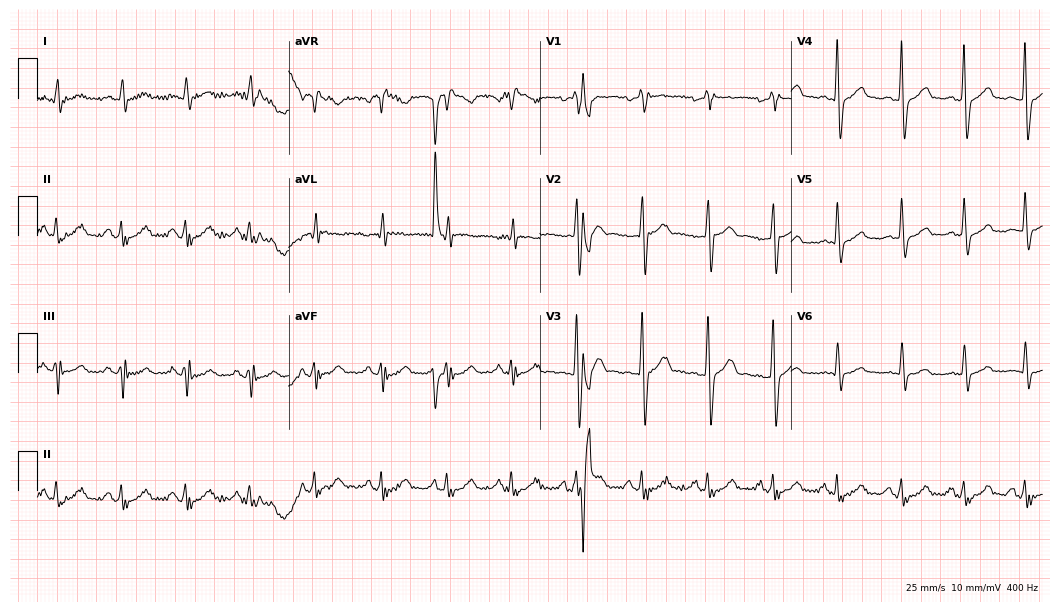
Resting 12-lead electrocardiogram (10.2-second recording at 400 Hz). Patient: a 50-year-old man. The tracing shows right bundle branch block.